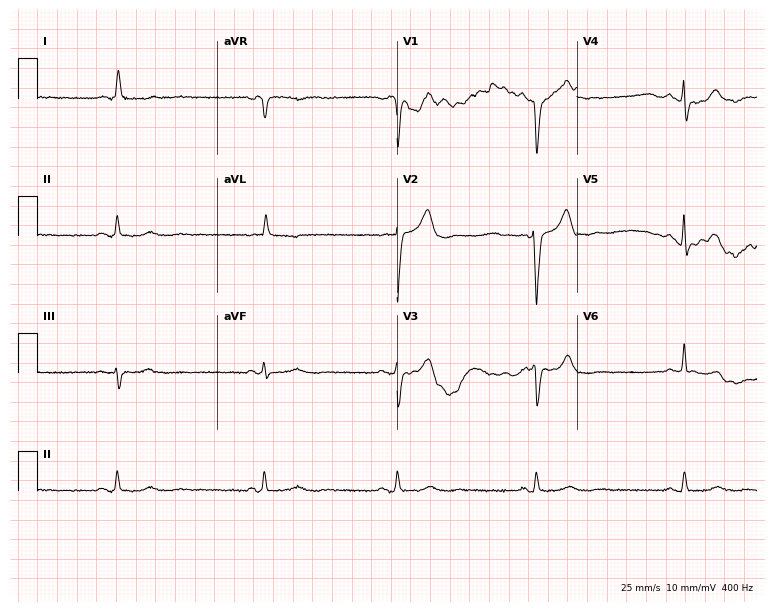
Standard 12-lead ECG recorded from a 78-year-old man (7.3-second recording at 400 Hz). The tracing shows sinus bradycardia (a sinus rate of 50 beats per minute or less).